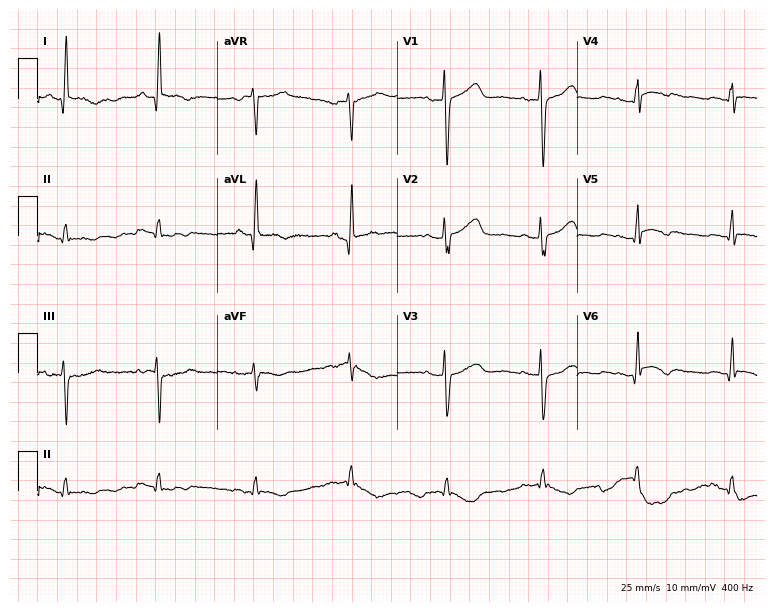
12-lead ECG from a 55-year-old female. Screened for six findings — first-degree AV block, right bundle branch block, left bundle branch block, sinus bradycardia, atrial fibrillation, sinus tachycardia — none is recorded.